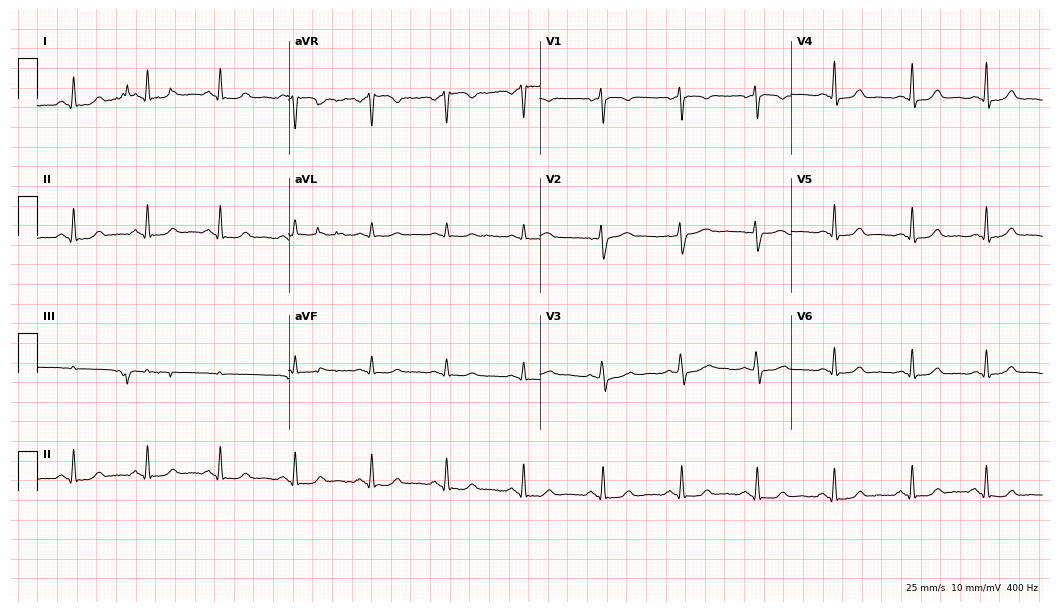
Resting 12-lead electrocardiogram. Patient: a 43-year-old female. Read as a normal ECG.